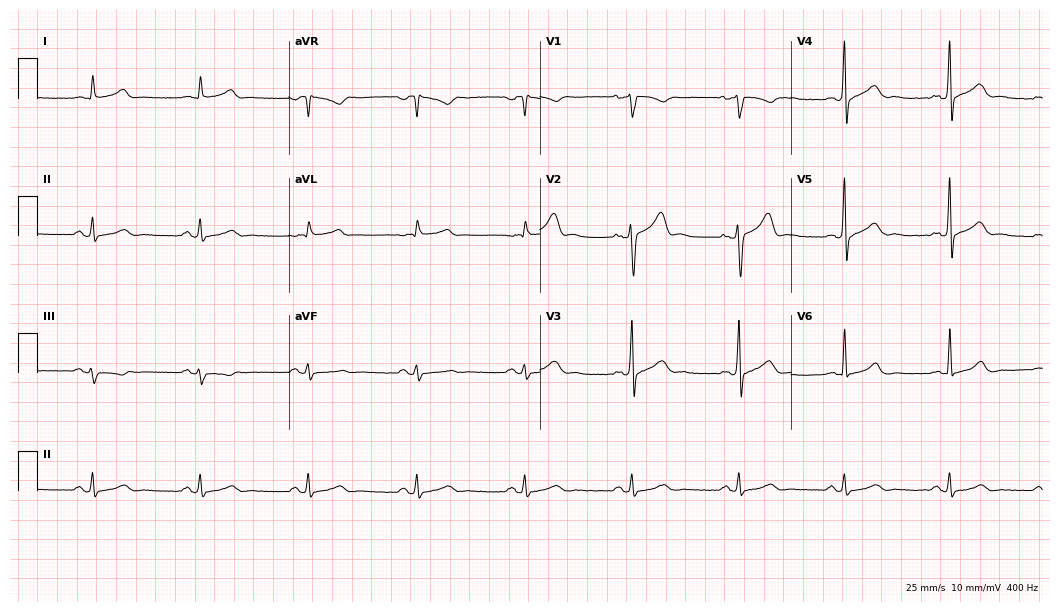
12-lead ECG (10.2-second recording at 400 Hz) from a man, 47 years old. Labelled as a normal ECG.